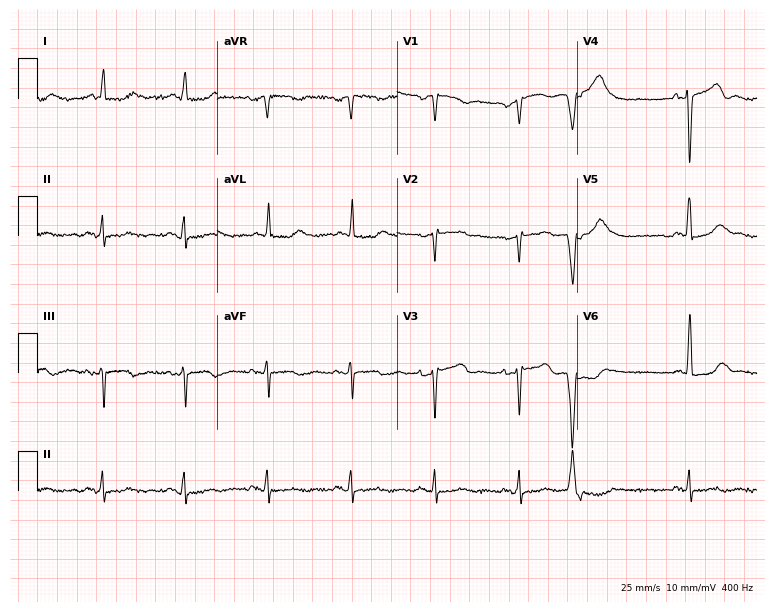
Electrocardiogram, a female, 81 years old. Of the six screened findings (first-degree AV block, right bundle branch block, left bundle branch block, sinus bradycardia, atrial fibrillation, sinus tachycardia), none is recorded. Other findings, if any, are not listed.